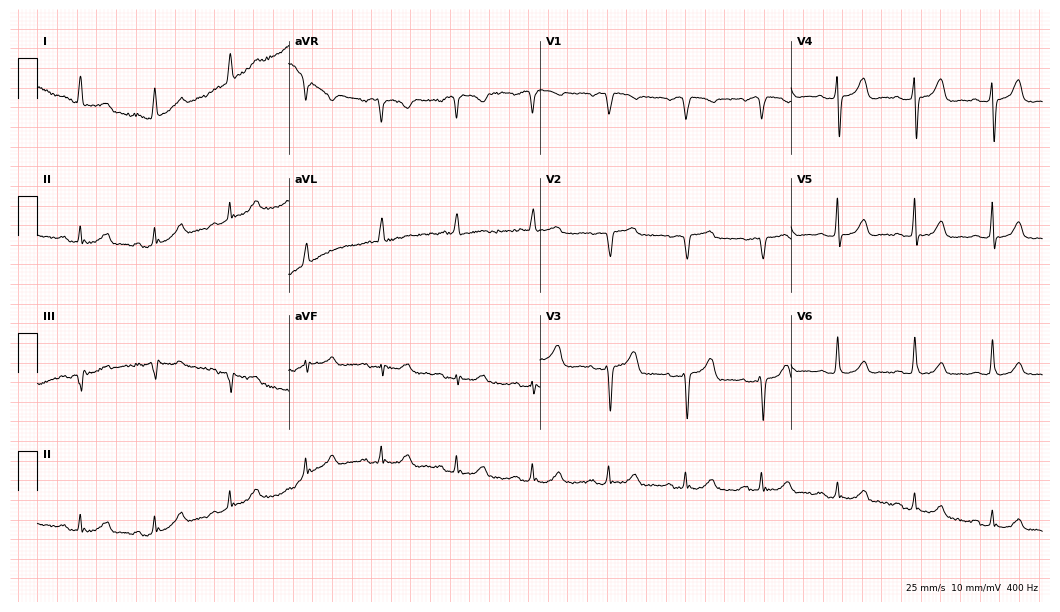
ECG — an 82-year-old female patient. Screened for six findings — first-degree AV block, right bundle branch block, left bundle branch block, sinus bradycardia, atrial fibrillation, sinus tachycardia — none is recorded. Findings outside these six are not listed.